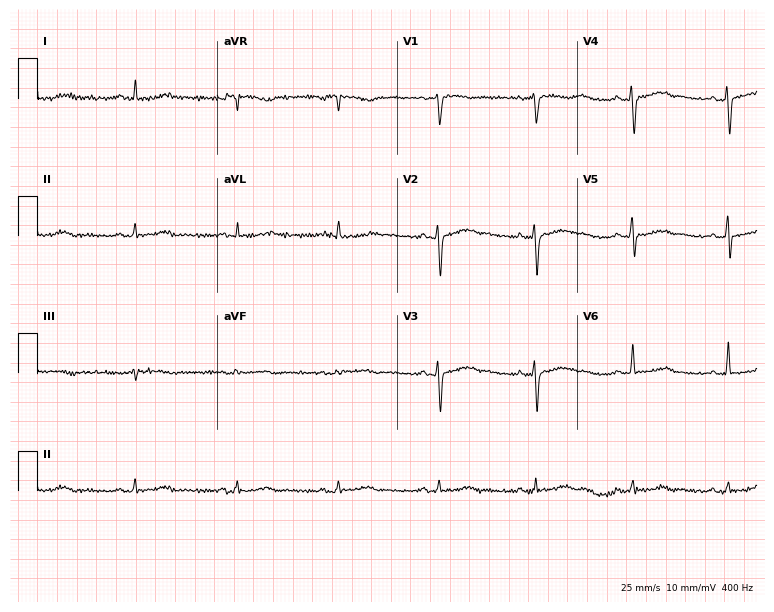
12-lead ECG from a female patient, 43 years old. Screened for six findings — first-degree AV block, right bundle branch block, left bundle branch block, sinus bradycardia, atrial fibrillation, sinus tachycardia — none is recorded.